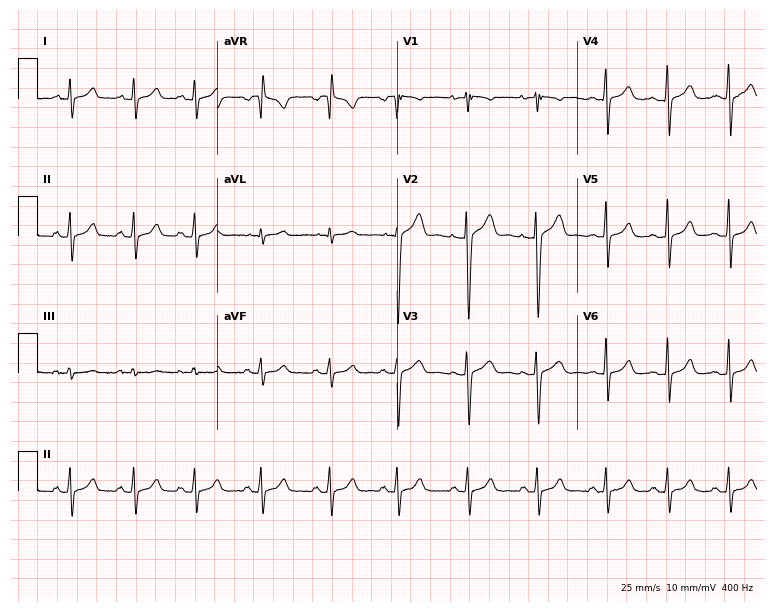
ECG — a woman, 21 years old. Screened for six findings — first-degree AV block, right bundle branch block, left bundle branch block, sinus bradycardia, atrial fibrillation, sinus tachycardia — none is recorded. Findings outside these six are not listed.